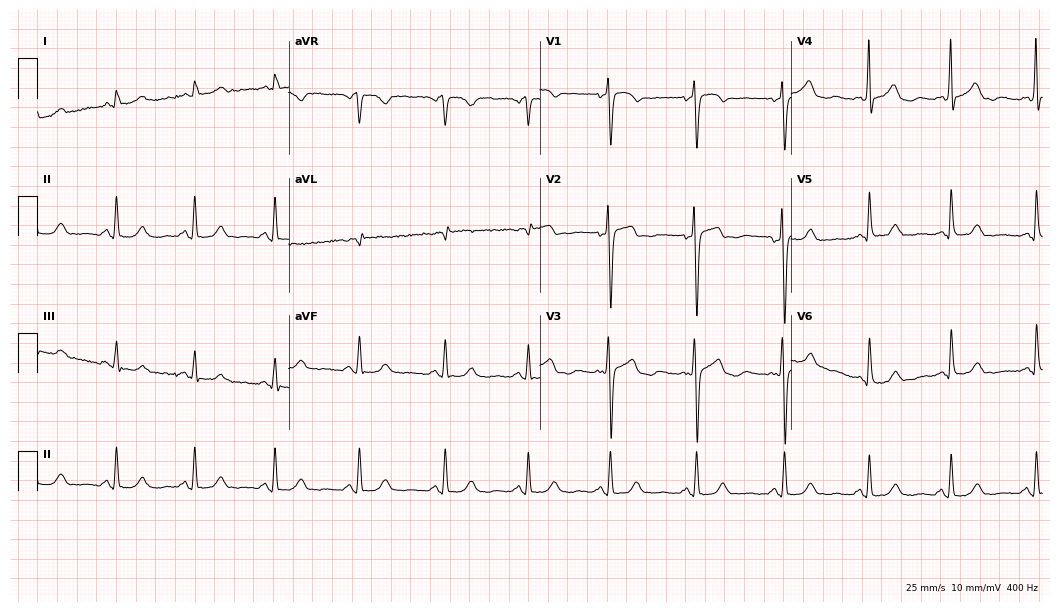
Electrocardiogram, a 37-year-old woman. Overall reading on record: normal ECG.